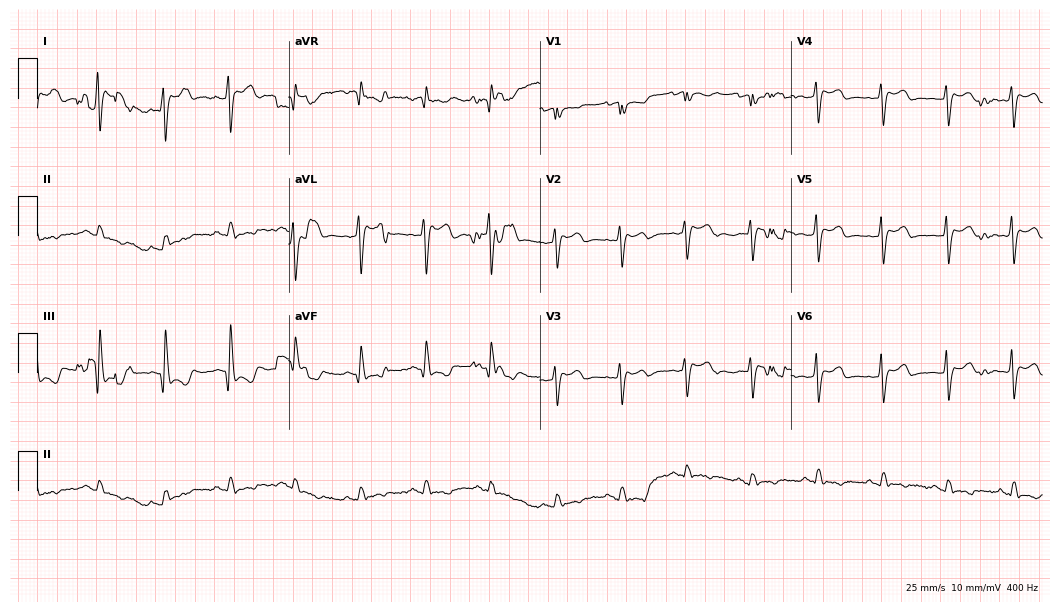
12-lead ECG from a male patient, 68 years old (10.2-second recording at 400 Hz). No first-degree AV block, right bundle branch block (RBBB), left bundle branch block (LBBB), sinus bradycardia, atrial fibrillation (AF) or sinus tachycardia recorded for this tracing.